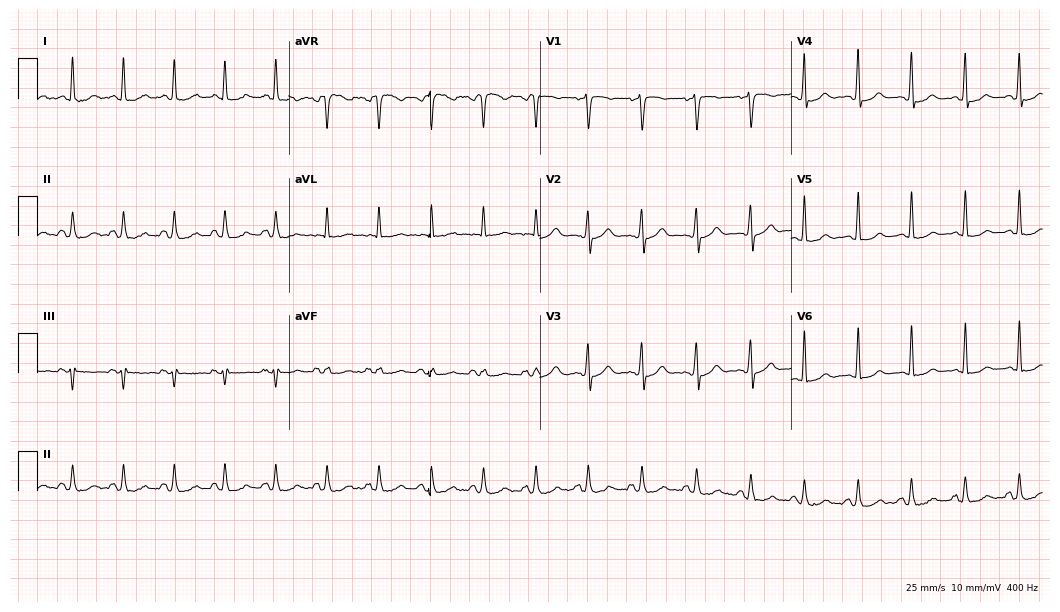
Standard 12-lead ECG recorded from a female, 43 years old (10.2-second recording at 400 Hz). The tracing shows sinus tachycardia (a sinus rate of 100 beats per minute or more).